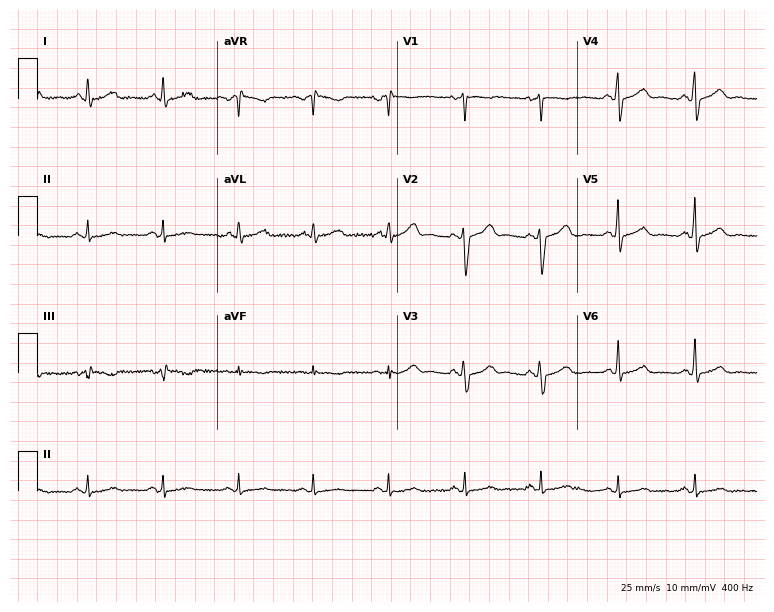
Electrocardiogram (7.3-second recording at 400 Hz), a 60-year-old man. Of the six screened findings (first-degree AV block, right bundle branch block (RBBB), left bundle branch block (LBBB), sinus bradycardia, atrial fibrillation (AF), sinus tachycardia), none is recorded.